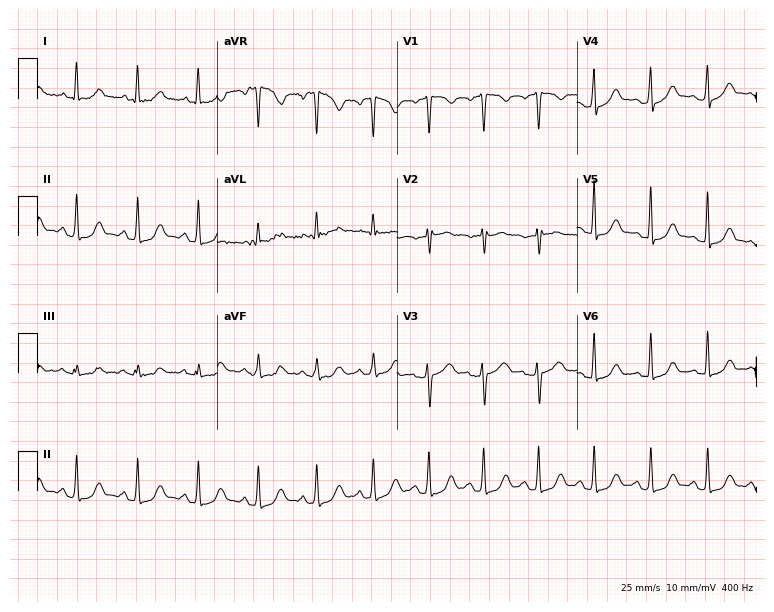
Resting 12-lead electrocardiogram. Patient: a woman, 34 years old. None of these six findings is recorded: first-degree AV block, right bundle branch block, left bundle branch block, sinus bradycardia, atrial fibrillation, sinus tachycardia. Only these six findings were labelled.